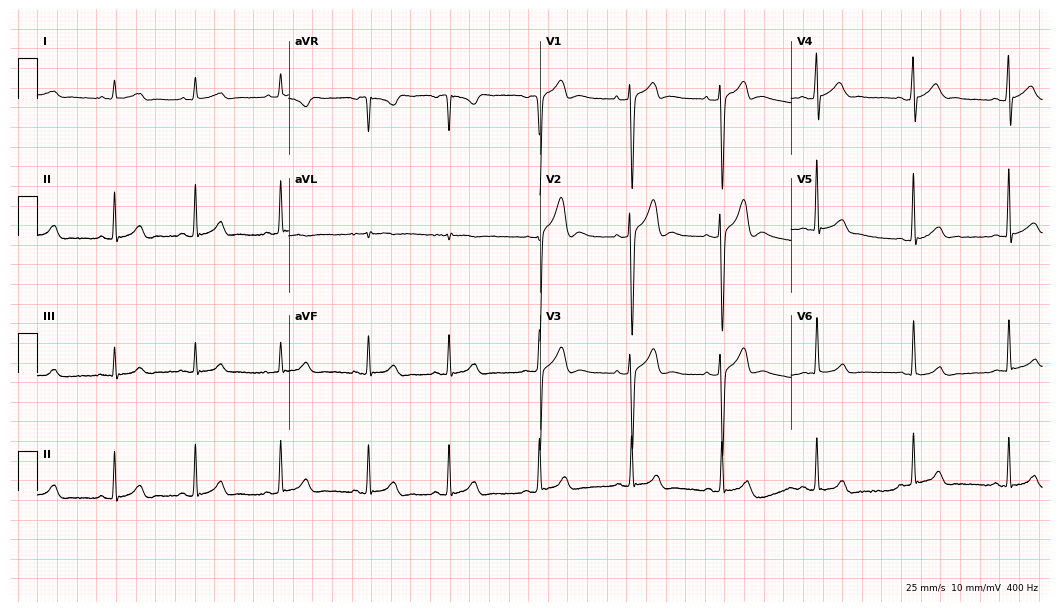
ECG — a 25-year-old male patient. Labelled as a normal ECG.